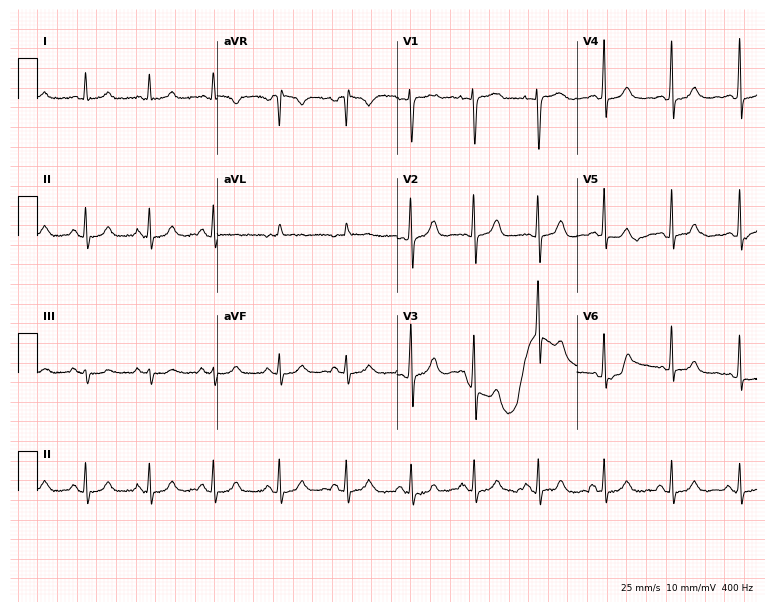
ECG (7.3-second recording at 400 Hz) — a 21-year-old female patient. Labelled as a normal ECG.